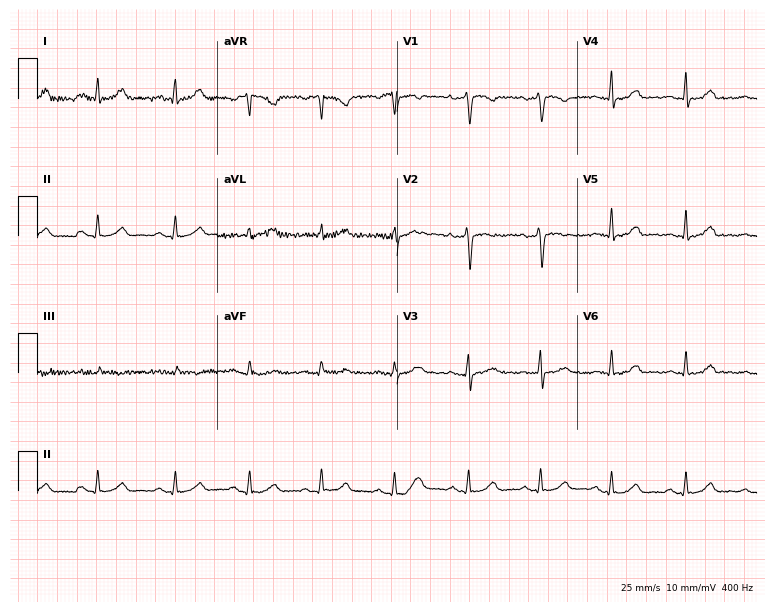
12-lead ECG from a 40-year-old woman. Recorded interpretation: within normal limits.